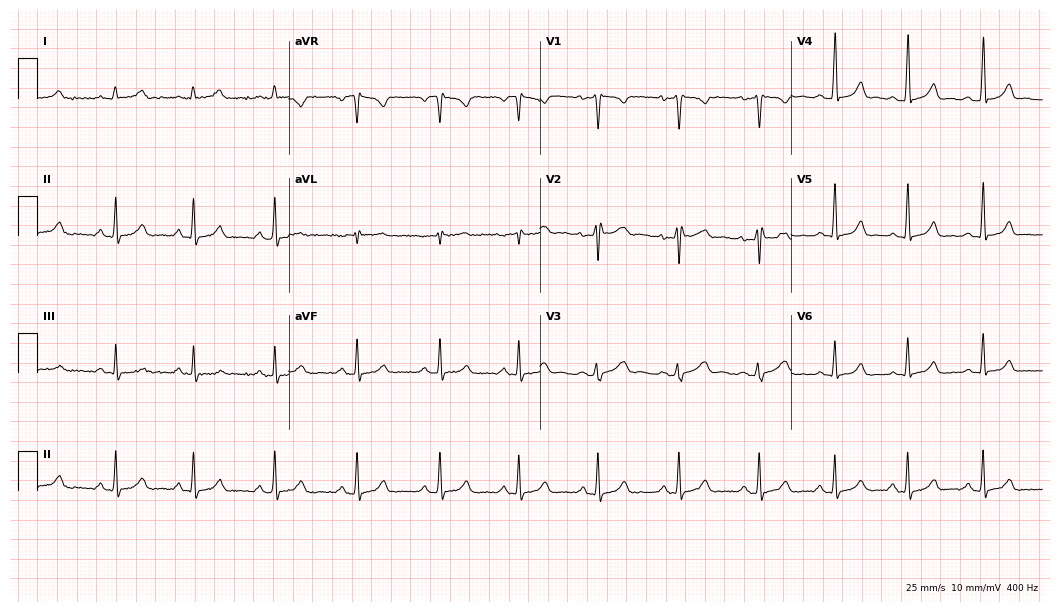
12-lead ECG (10.2-second recording at 400 Hz) from a female patient, 31 years old. Screened for six findings — first-degree AV block, right bundle branch block (RBBB), left bundle branch block (LBBB), sinus bradycardia, atrial fibrillation (AF), sinus tachycardia — none is recorded. Findings outside these six are not listed.